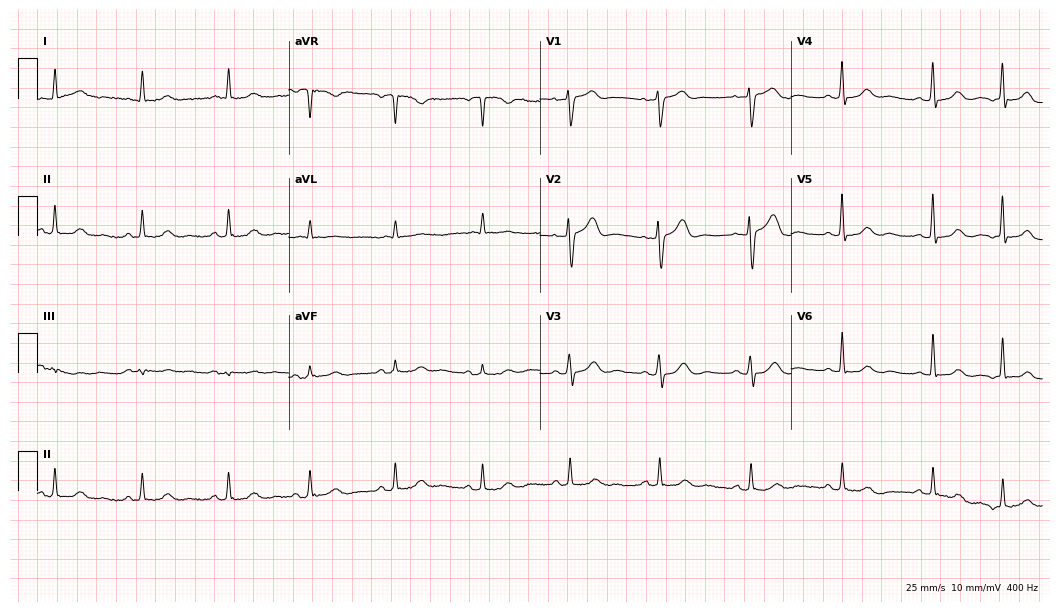
12-lead ECG (10.2-second recording at 400 Hz) from a female patient, 82 years old. Screened for six findings — first-degree AV block, right bundle branch block, left bundle branch block, sinus bradycardia, atrial fibrillation, sinus tachycardia — none is recorded. Findings outside these six are not listed.